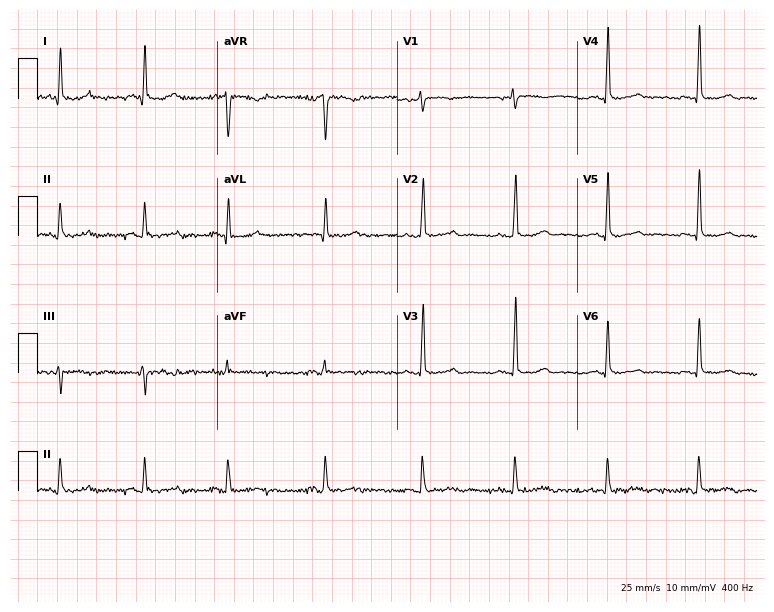
ECG — a female, 80 years old. Labelled as a normal ECG.